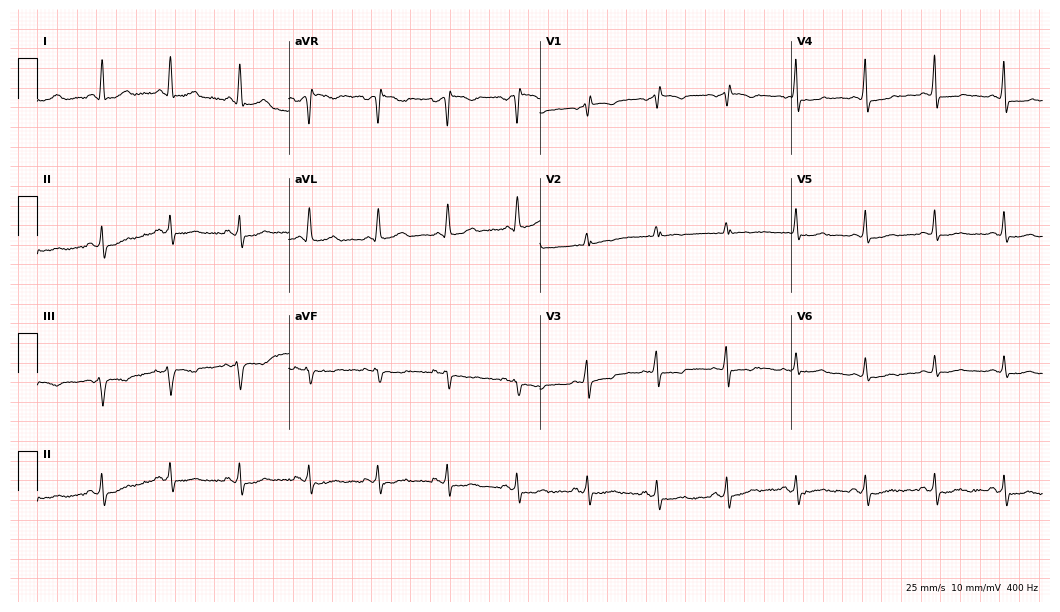
ECG (10.2-second recording at 400 Hz) — a female, 64 years old. Screened for six findings — first-degree AV block, right bundle branch block (RBBB), left bundle branch block (LBBB), sinus bradycardia, atrial fibrillation (AF), sinus tachycardia — none is recorded.